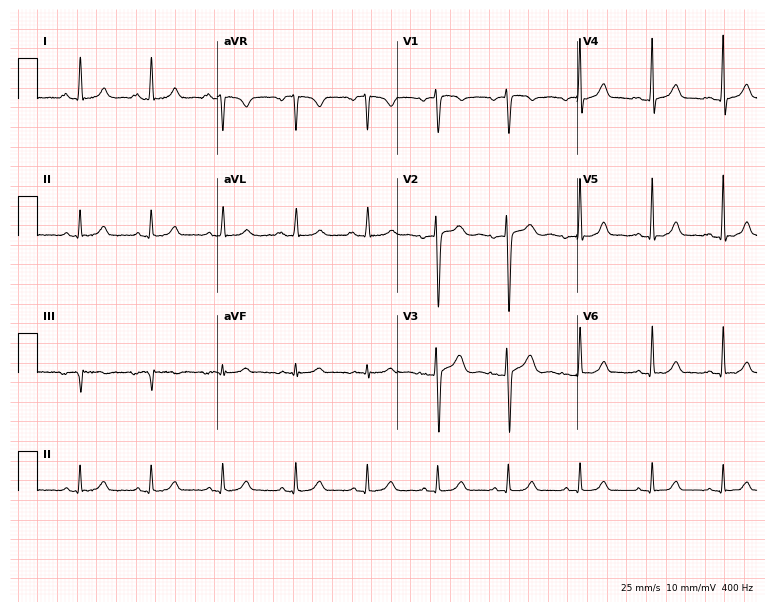
Standard 12-lead ECG recorded from a female, 41 years old (7.3-second recording at 400 Hz). Read as a normal ECG.